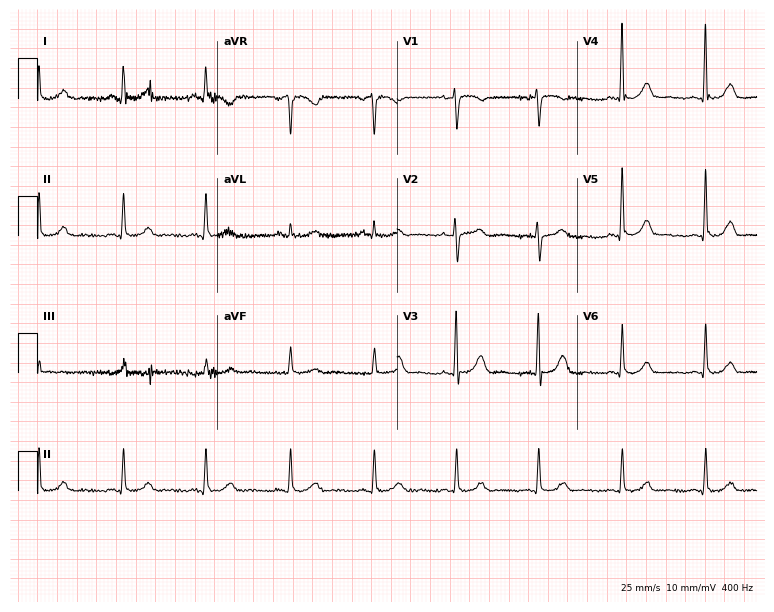
ECG (7.3-second recording at 400 Hz) — a female, 62 years old. Screened for six findings — first-degree AV block, right bundle branch block, left bundle branch block, sinus bradycardia, atrial fibrillation, sinus tachycardia — none is recorded.